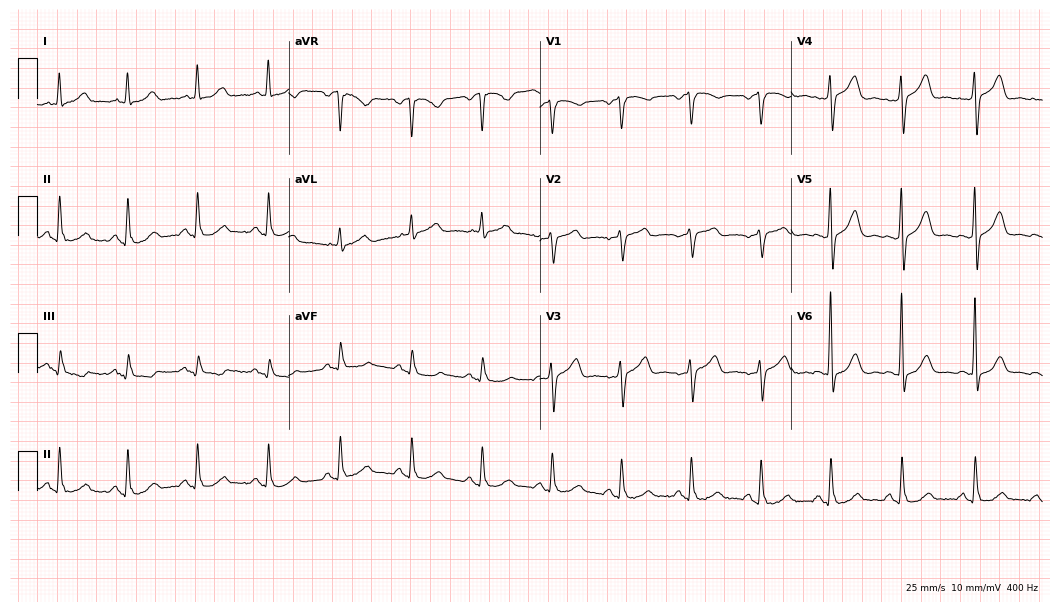
12-lead ECG (10.2-second recording at 400 Hz) from a 63-year-old male patient. Labelled as a normal ECG.